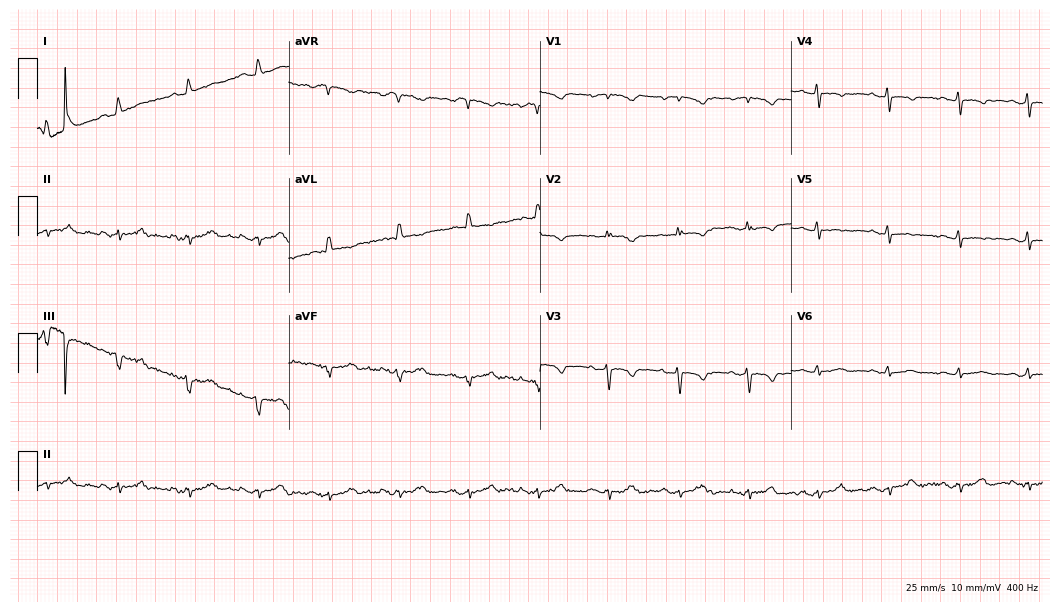
12-lead ECG from a 59-year-old woman. Screened for six findings — first-degree AV block, right bundle branch block, left bundle branch block, sinus bradycardia, atrial fibrillation, sinus tachycardia — none is recorded. Other findings, if any, are not listed.